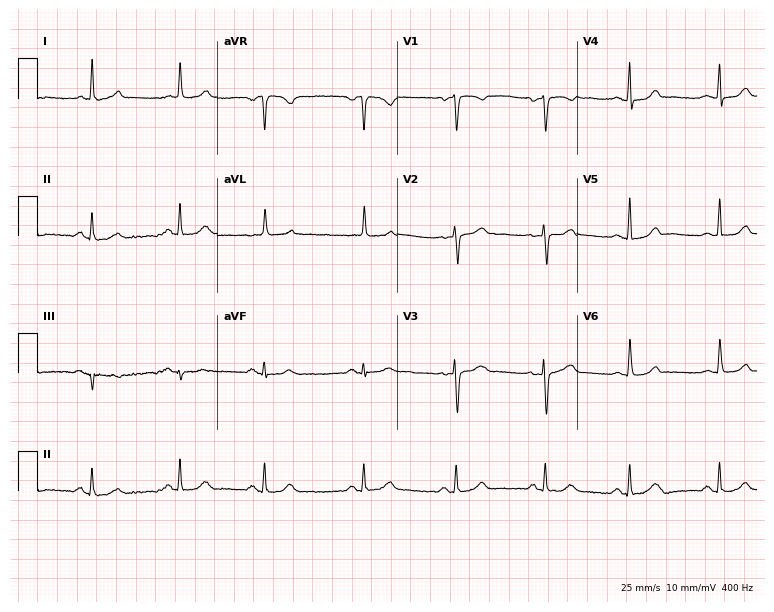
Resting 12-lead electrocardiogram. Patient: a woman, 59 years old. Read as a normal ECG.